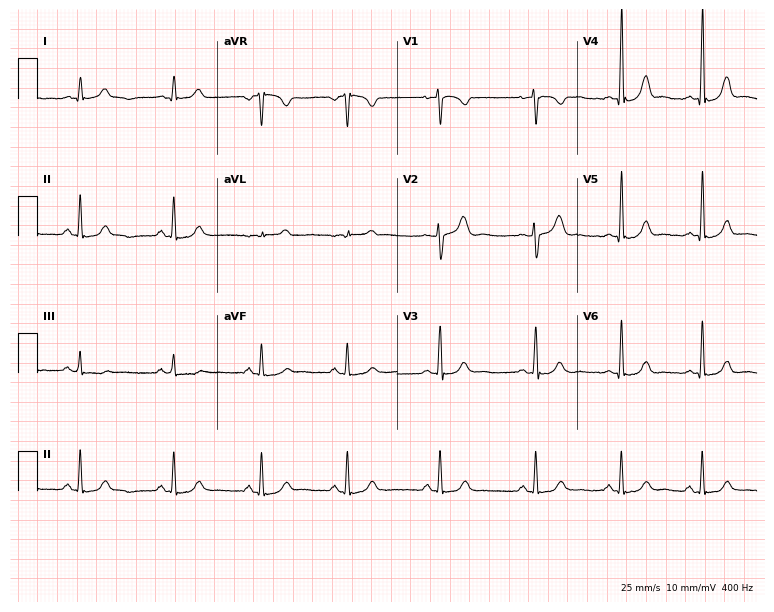
12-lead ECG (7.3-second recording at 400 Hz) from a 32-year-old male. Screened for six findings — first-degree AV block, right bundle branch block, left bundle branch block, sinus bradycardia, atrial fibrillation, sinus tachycardia — none is recorded. Only these six findings were labelled.